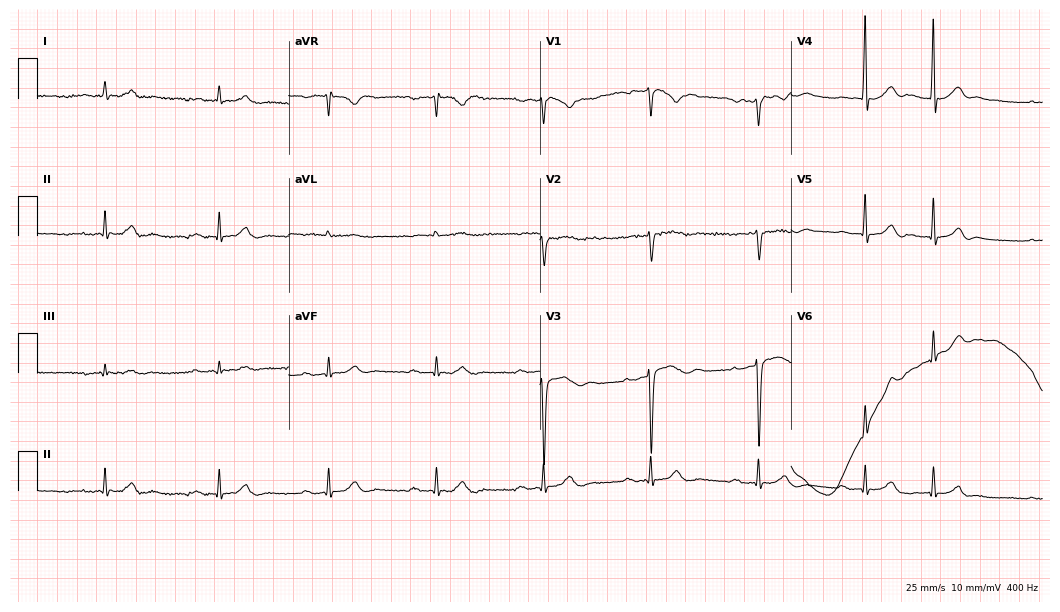
Standard 12-lead ECG recorded from a 72-year-old male patient. The tracing shows first-degree AV block.